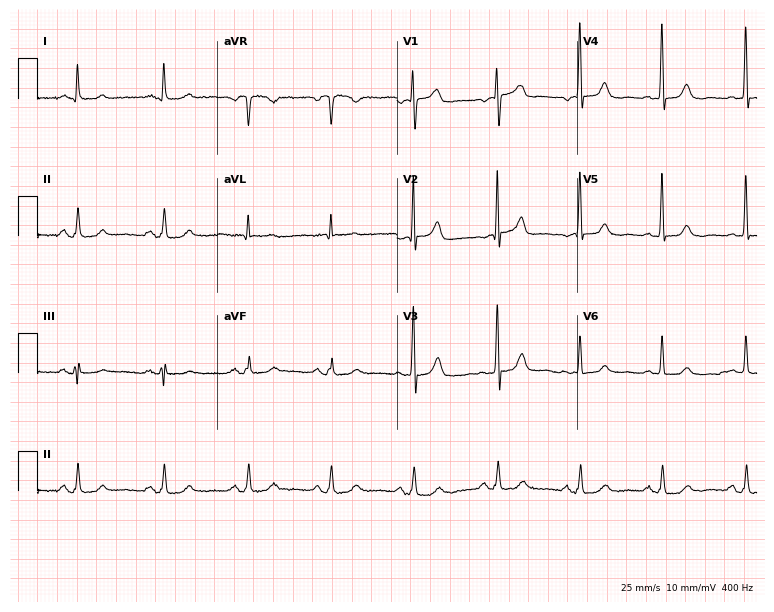
ECG (7.3-second recording at 400 Hz) — a woman, 69 years old. Labelled as a normal ECG.